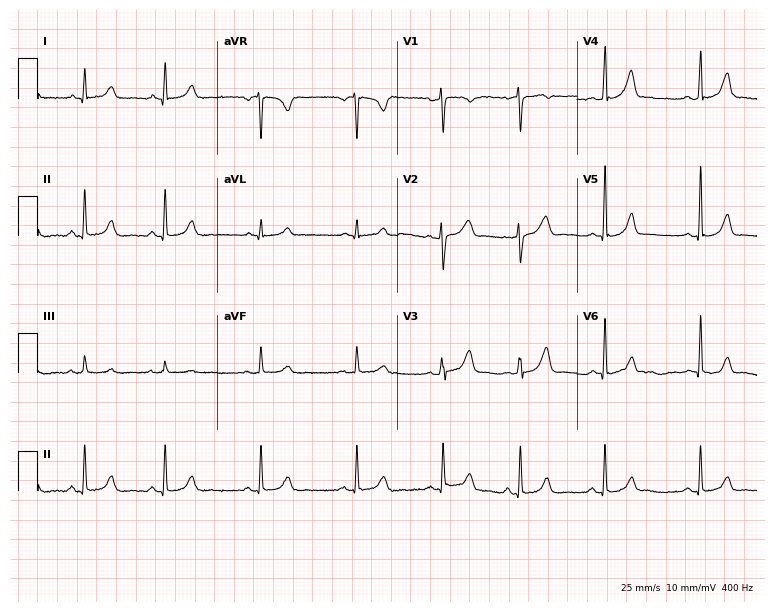
12-lead ECG (7.3-second recording at 400 Hz) from a 34-year-old female patient. Screened for six findings — first-degree AV block, right bundle branch block (RBBB), left bundle branch block (LBBB), sinus bradycardia, atrial fibrillation (AF), sinus tachycardia — none is recorded. Findings outside these six are not listed.